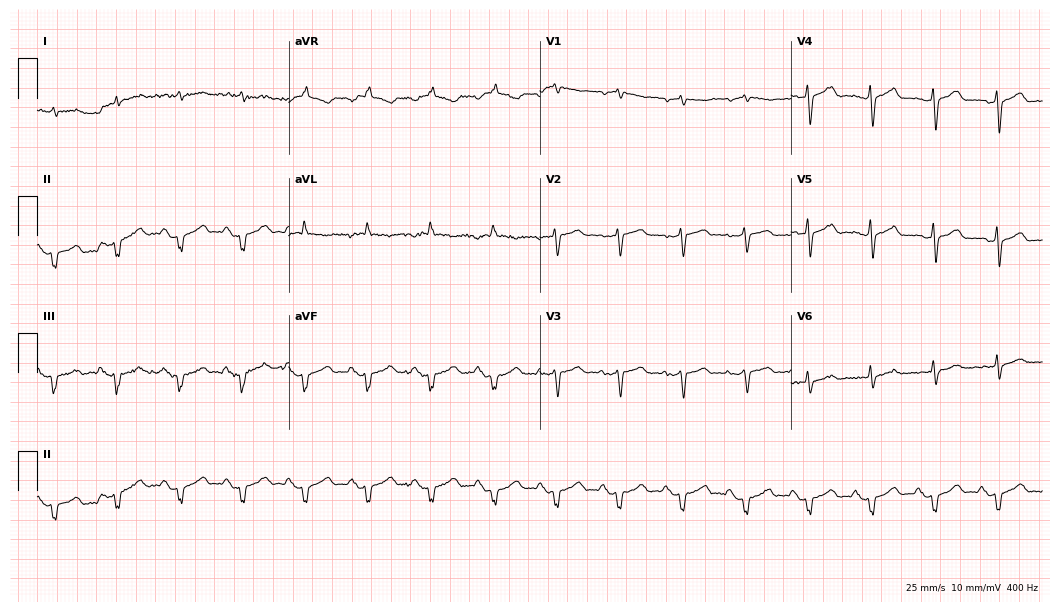
12-lead ECG from a 78-year-old male (10.2-second recording at 400 Hz). No first-degree AV block, right bundle branch block, left bundle branch block, sinus bradycardia, atrial fibrillation or sinus tachycardia recorded for this tracing.